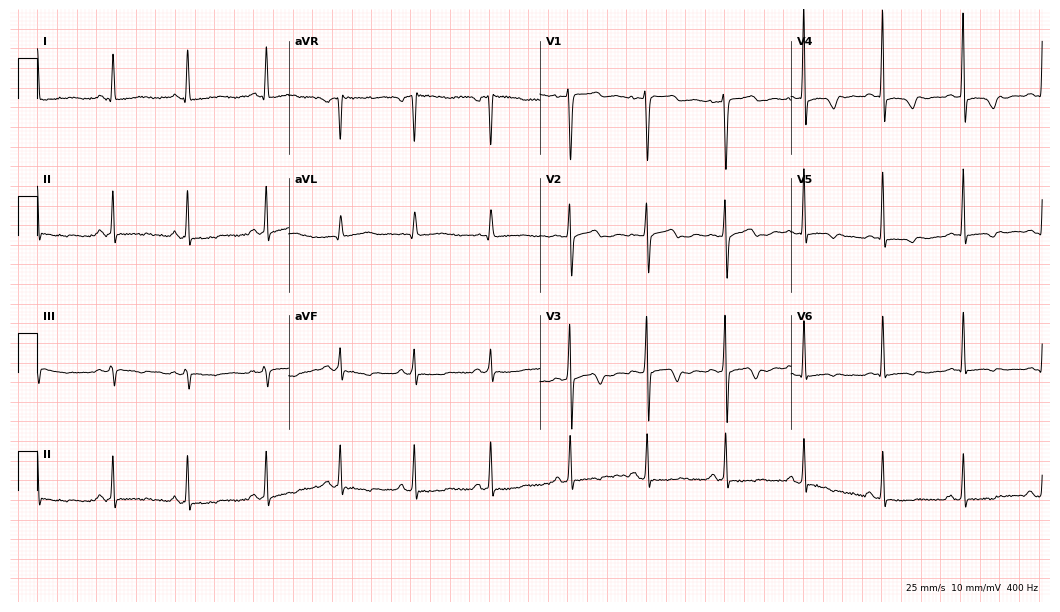
Resting 12-lead electrocardiogram. Patient: a 37-year-old female. None of these six findings is recorded: first-degree AV block, right bundle branch block, left bundle branch block, sinus bradycardia, atrial fibrillation, sinus tachycardia. Other findings, if any, are not listed.